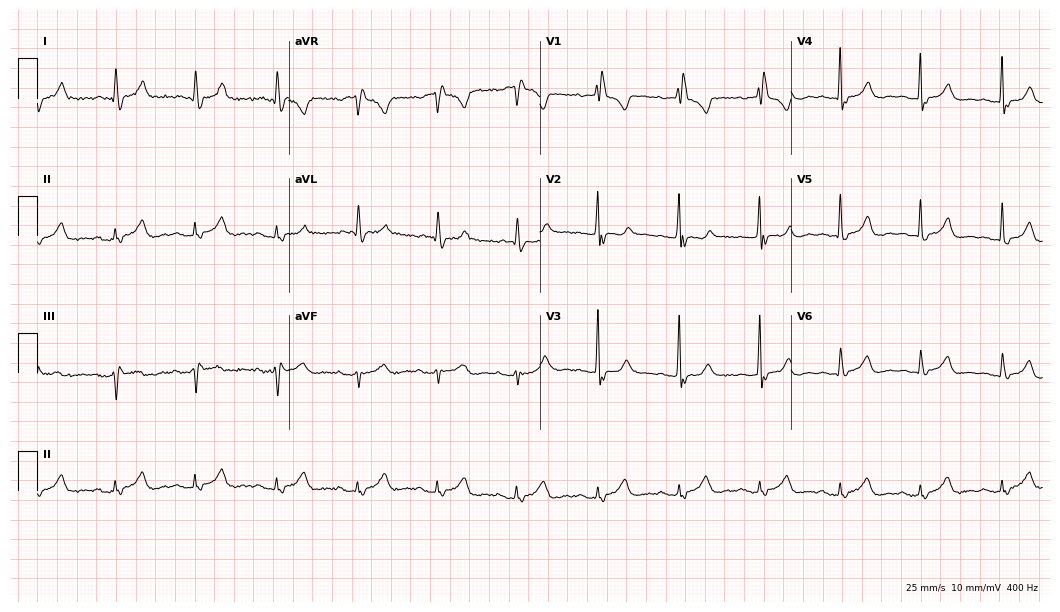
12-lead ECG from a 72-year-old woman (10.2-second recording at 400 Hz). Shows right bundle branch block.